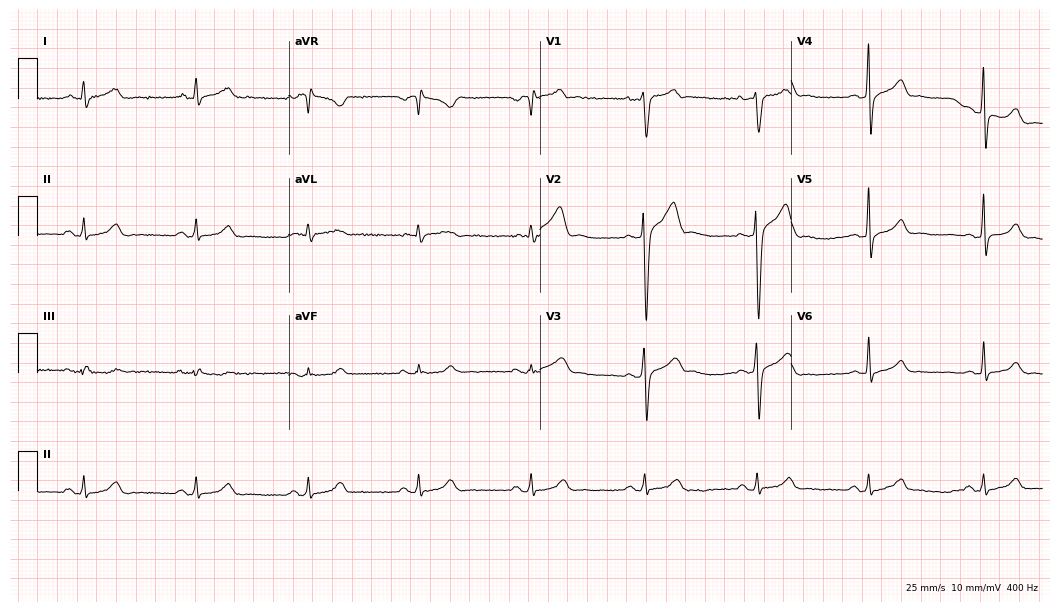
Resting 12-lead electrocardiogram. Patient: a 47-year-old male. Read as a normal ECG.